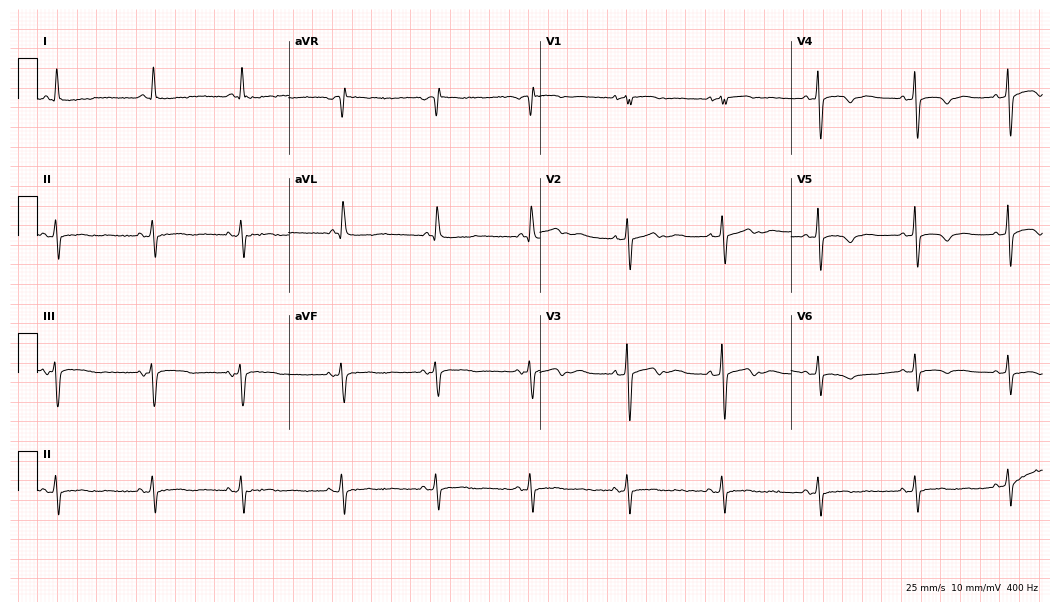
Resting 12-lead electrocardiogram (10.2-second recording at 400 Hz). Patient: a 78-year-old female. None of these six findings is recorded: first-degree AV block, right bundle branch block, left bundle branch block, sinus bradycardia, atrial fibrillation, sinus tachycardia. Other findings, if any, are not listed.